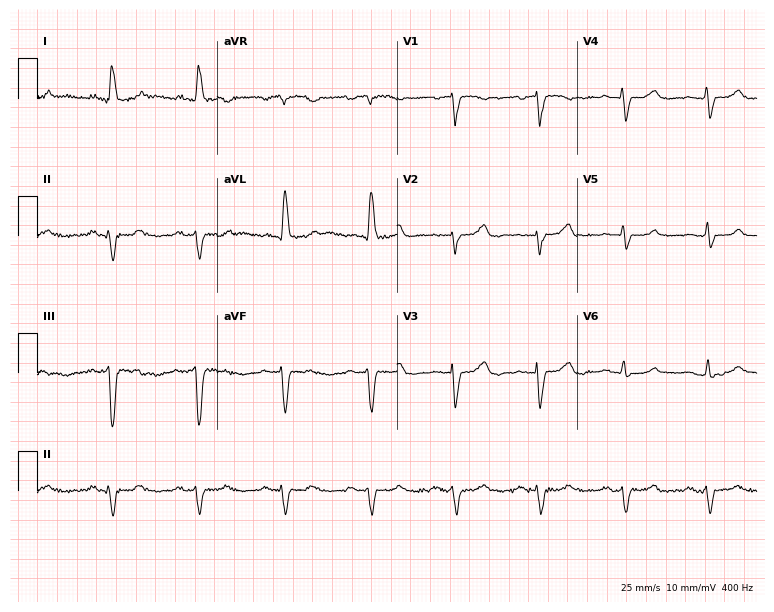
12-lead ECG from a 79-year-old female. Shows left bundle branch block (LBBB).